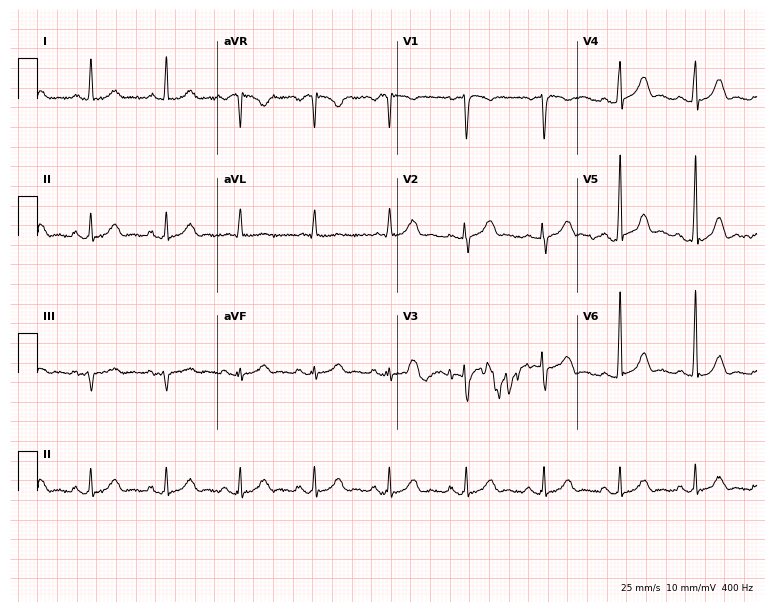
Resting 12-lead electrocardiogram (7.3-second recording at 400 Hz). Patient: a 57-year-old female. Read as a normal ECG.